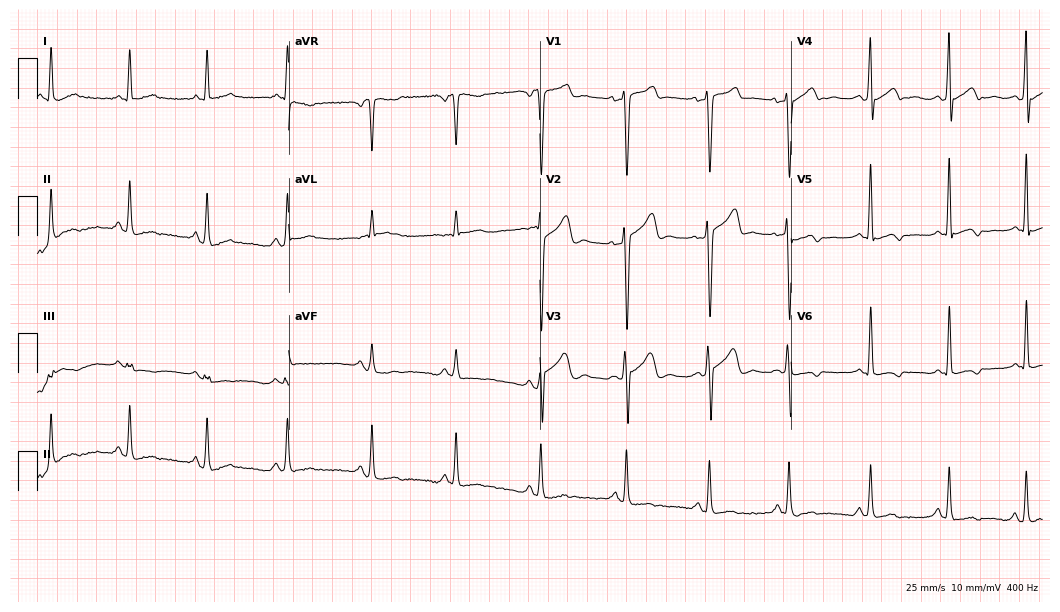
12-lead ECG from a 32-year-old man (10.2-second recording at 400 Hz). No first-degree AV block, right bundle branch block, left bundle branch block, sinus bradycardia, atrial fibrillation or sinus tachycardia recorded for this tracing. Findings outside these six are not listed.